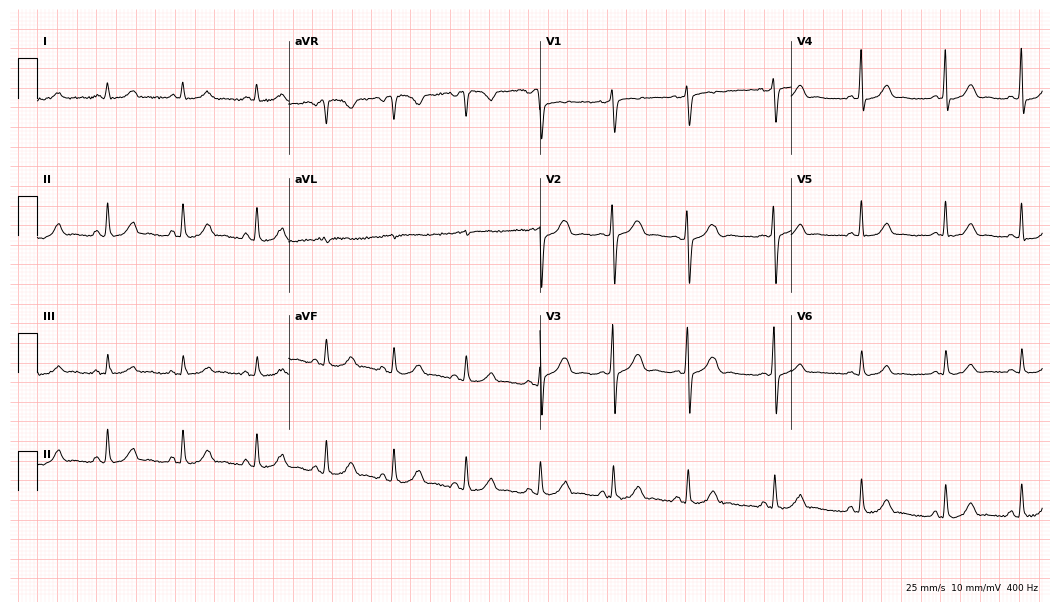
12-lead ECG from a female, 20 years old. Labelled as a normal ECG.